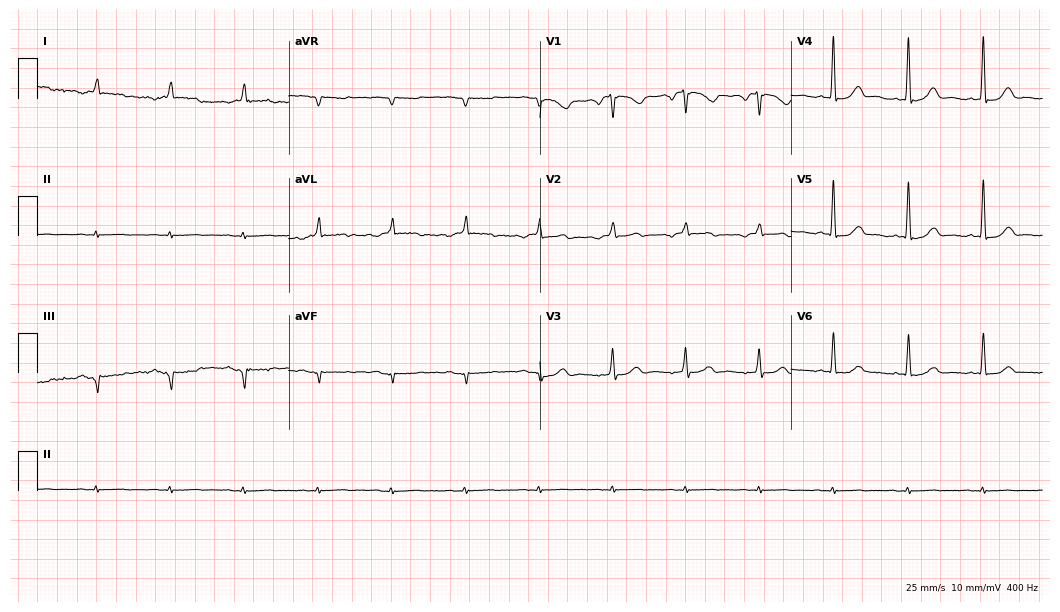
Electrocardiogram (10.2-second recording at 400 Hz), a 74-year-old female. Of the six screened findings (first-degree AV block, right bundle branch block, left bundle branch block, sinus bradycardia, atrial fibrillation, sinus tachycardia), none is recorded. Findings outside these six are not listed.